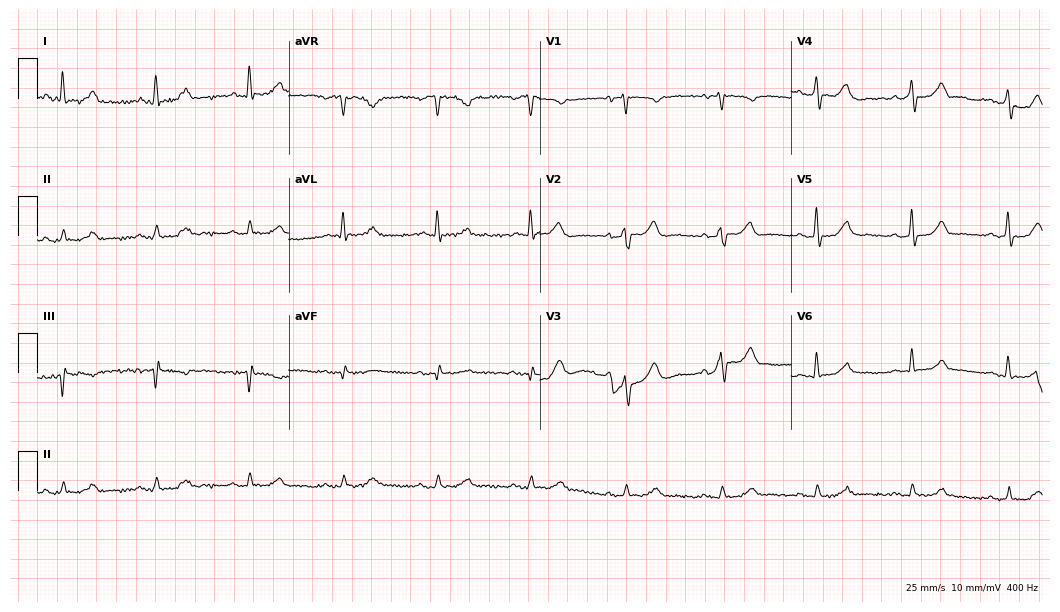
12-lead ECG (10.2-second recording at 400 Hz) from a man, 65 years old. Screened for six findings — first-degree AV block, right bundle branch block (RBBB), left bundle branch block (LBBB), sinus bradycardia, atrial fibrillation (AF), sinus tachycardia — none is recorded. Other findings, if any, are not listed.